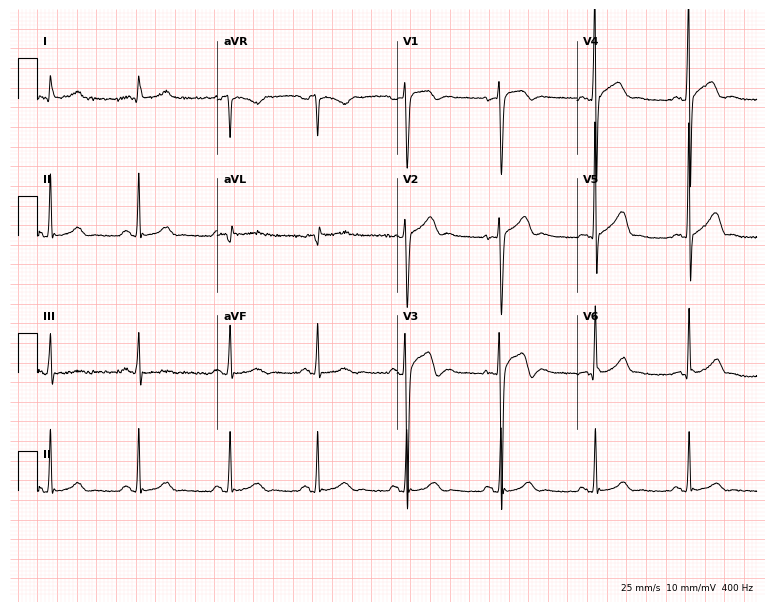
12-lead ECG from a male, 39 years old. No first-degree AV block, right bundle branch block (RBBB), left bundle branch block (LBBB), sinus bradycardia, atrial fibrillation (AF) or sinus tachycardia recorded for this tracing.